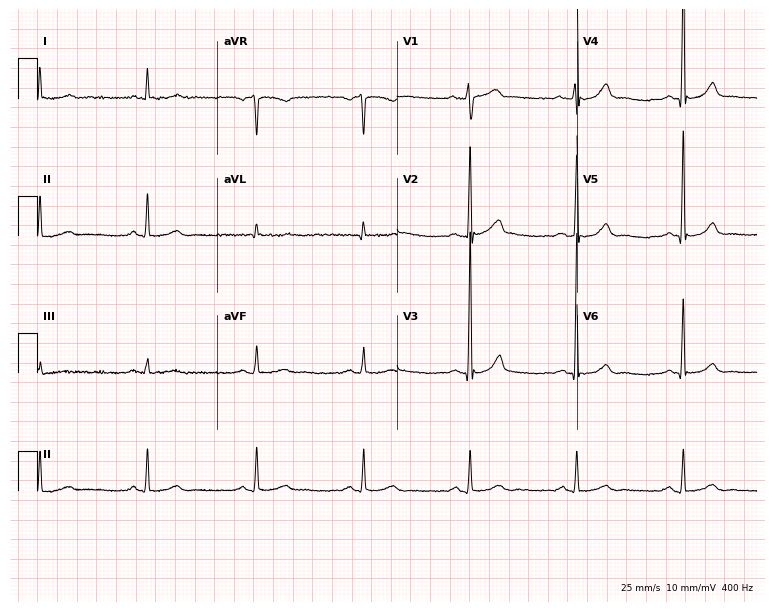
Electrocardiogram, a 53-year-old man. Overall reading on record: normal ECG.